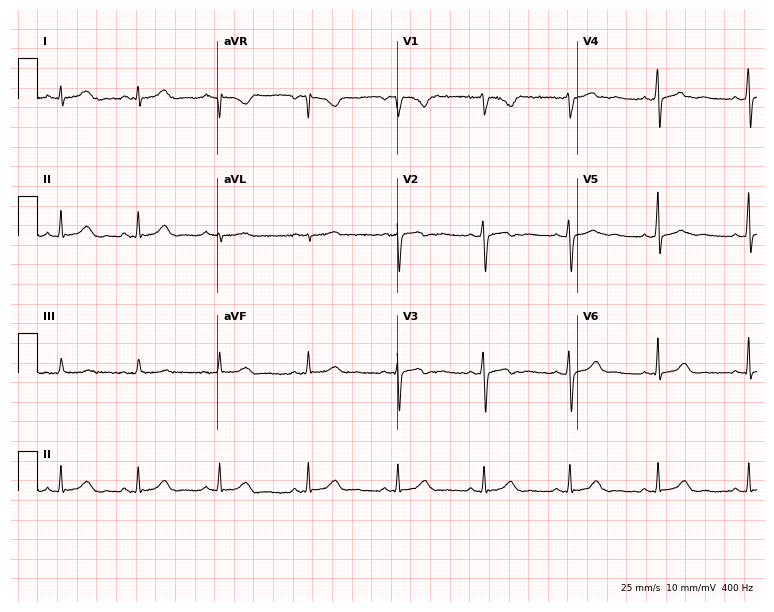
Electrocardiogram (7.3-second recording at 400 Hz), a female, 27 years old. Overall reading on record: normal ECG.